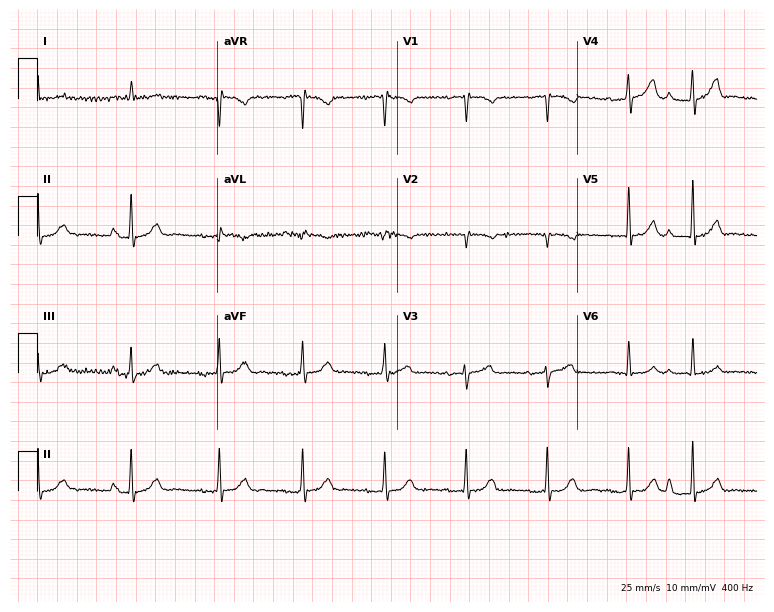
Standard 12-lead ECG recorded from an 80-year-old male patient (7.3-second recording at 400 Hz). None of these six findings is recorded: first-degree AV block, right bundle branch block (RBBB), left bundle branch block (LBBB), sinus bradycardia, atrial fibrillation (AF), sinus tachycardia.